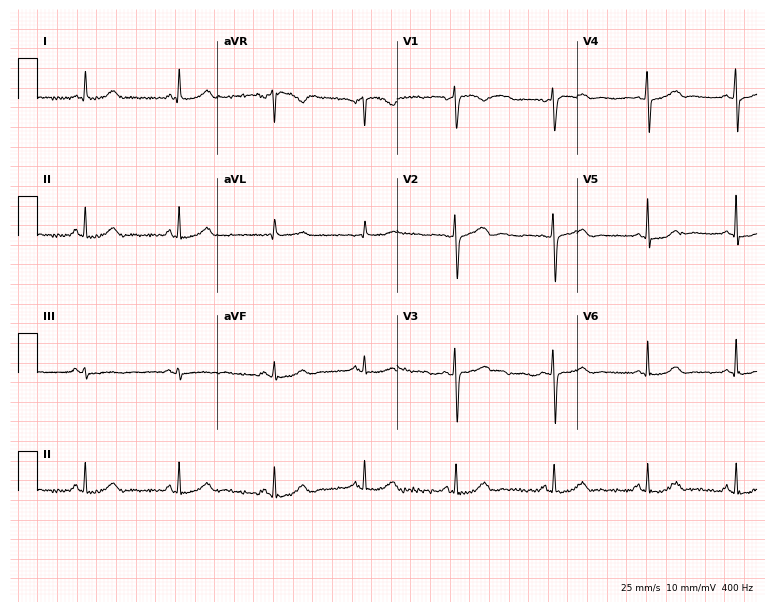
12-lead ECG from a woman, 49 years old (7.3-second recording at 400 Hz). Recorded interpretation: within normal limits.